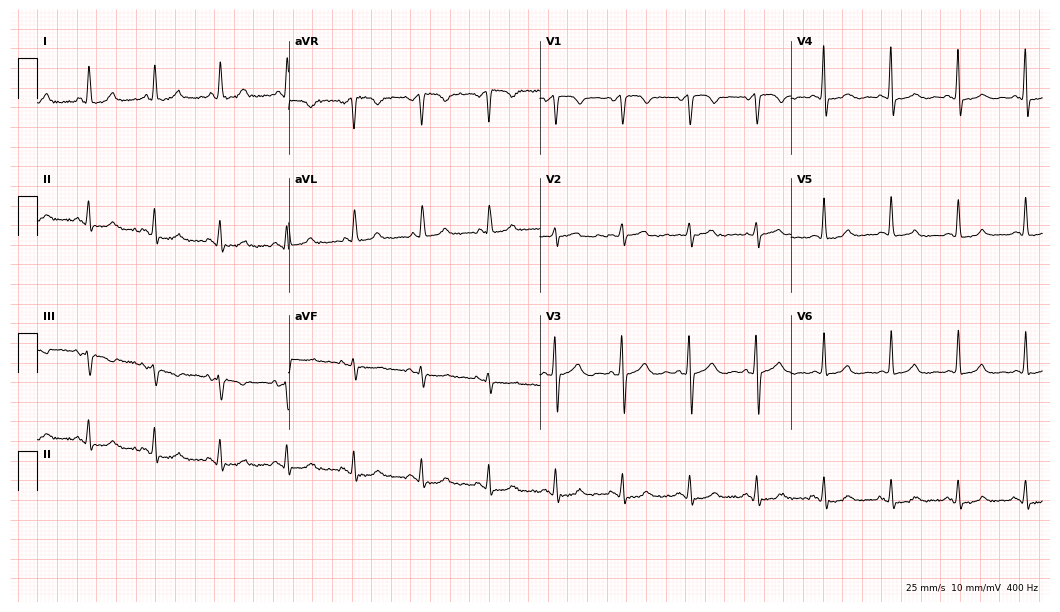
ECG — a woman, 61 years old. Labelled as a normal ECG.